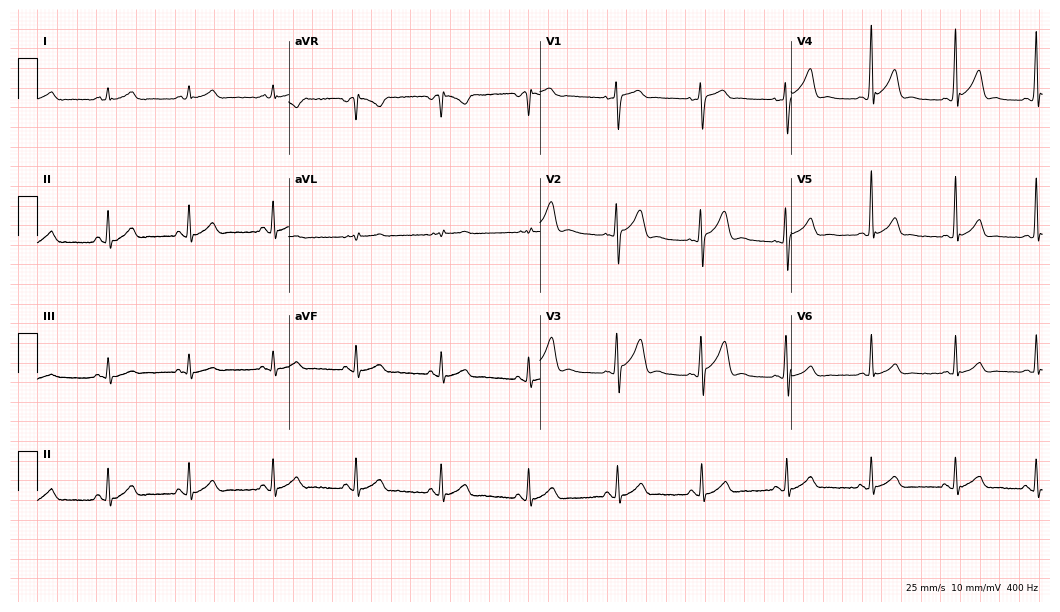
ECG (10.2-second recording at 400 Hz) — a 23-year-old male patient. Screened for six findings — first-degree AV block, right bundle branch block (RBBB), left bundle branch block (LBBB), sinus bradycardia, atrial fibrillation (AF), sinus tachycardia — none is recorded.